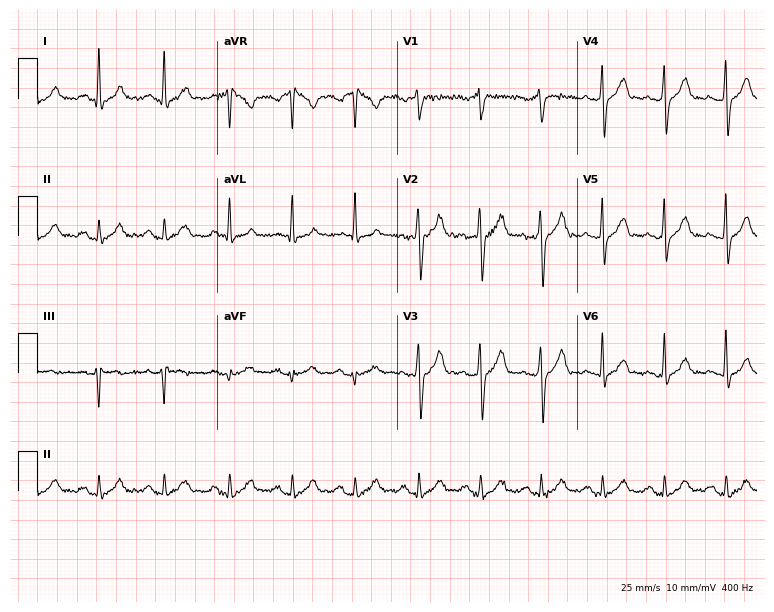
12-lead ECG from a male patient, 43 years old. Recorded interpretation: within normal limits.